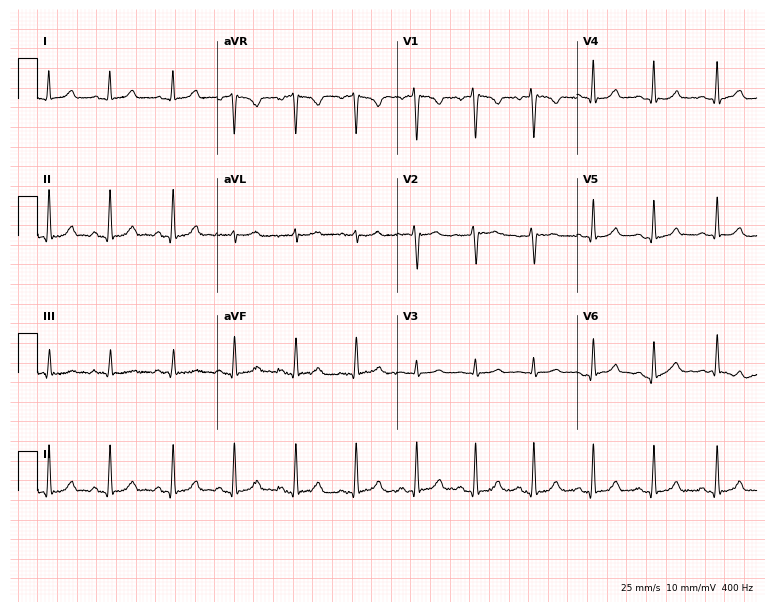
ECG (7.3-second recording at 400 Hz) — a 23-year-old female. Labelled as a normal ECG.